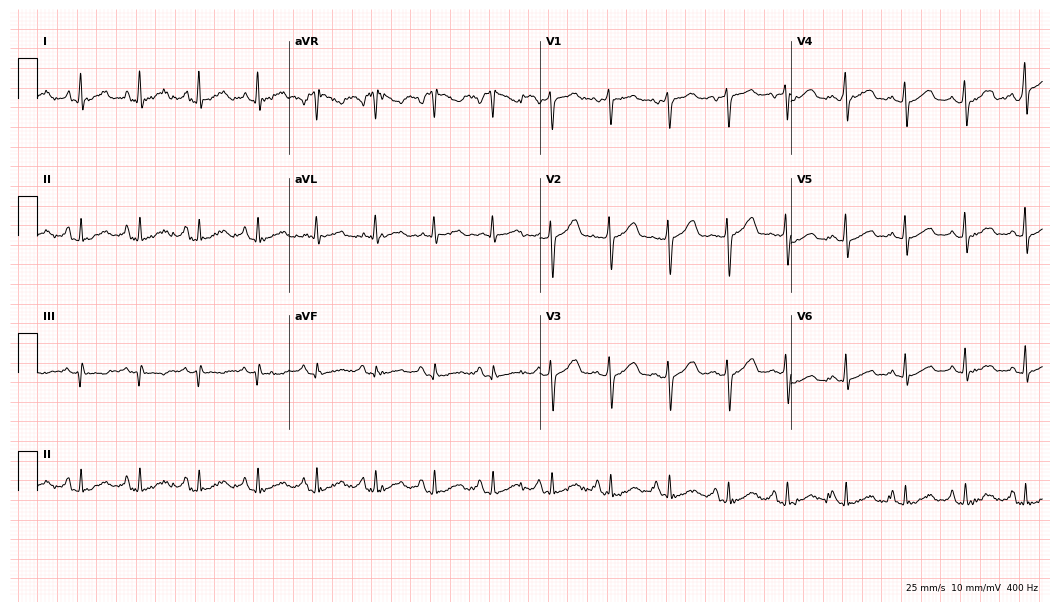
Electrocardiogram, a 49-year-old woman. Overall reading on record: normal ECG.